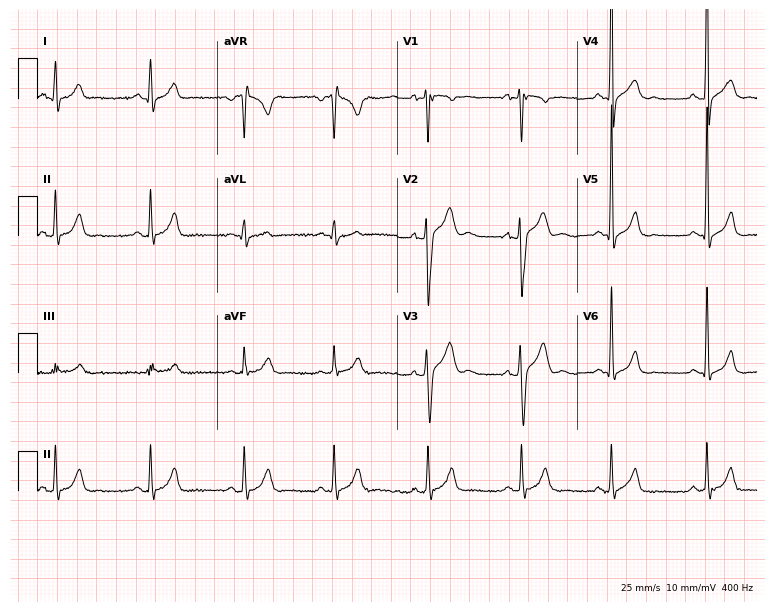
12-lead ECG from a 19-year-old man. Screened for six findings — first-degree AV block, right bundle branch block, left bundle branch block, sinus bradycardia, atrial fibrillation, sinus tachycardia — none is recorded. Only these six findings were labelled.